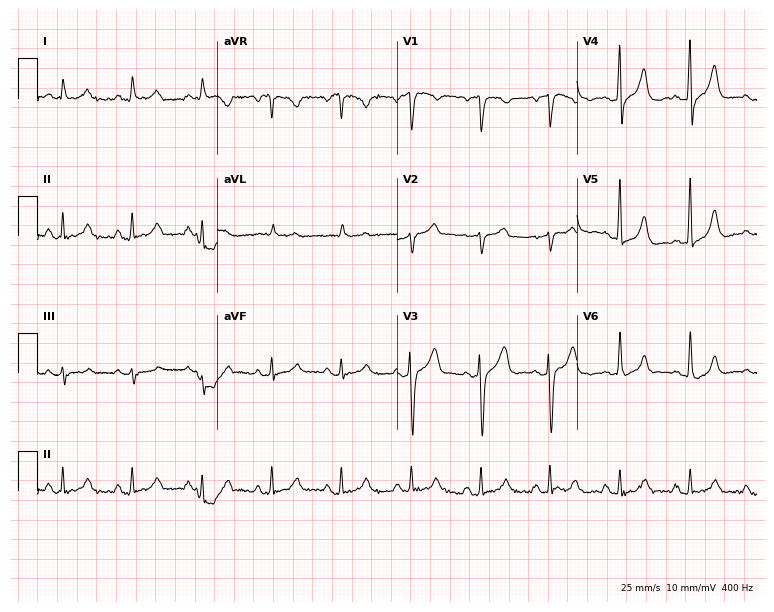
ECG (7.3-second recording at 400 Hz) — a man, 70 years old. Labelled as a normal ECG.